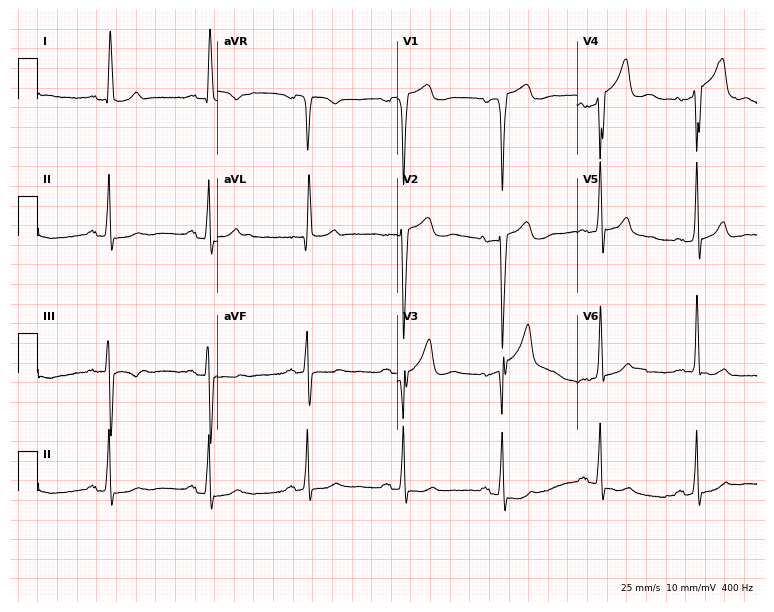
12-lead ECG from a 20-year-old woman. Recorded interpretation: within normal limits.